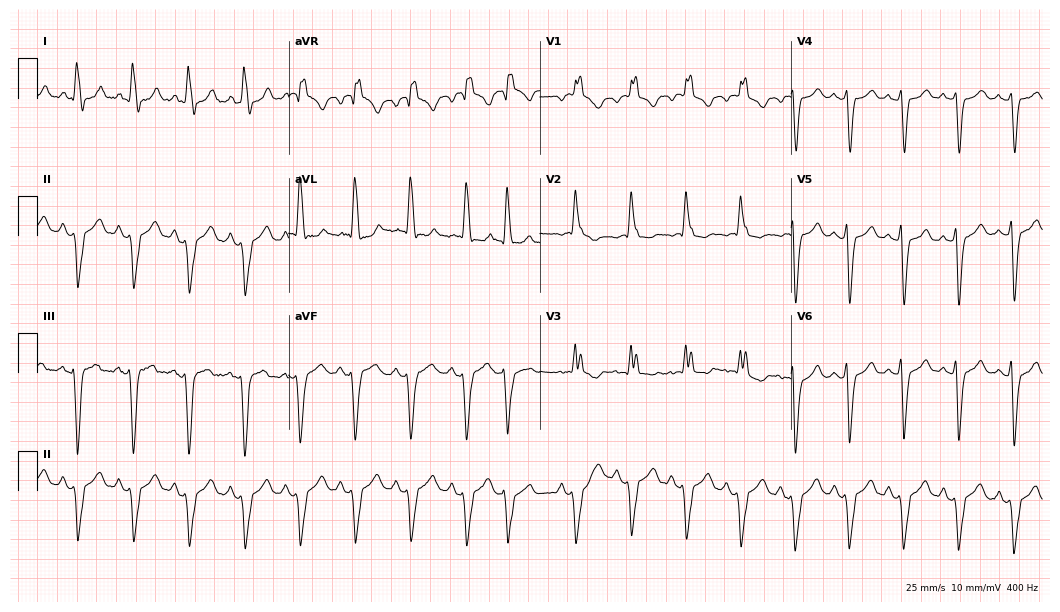
Electrocardiogram (10.2-second recording at 400 Hz), an 83-year-old woman. Interpretation includes right bundle branch block.